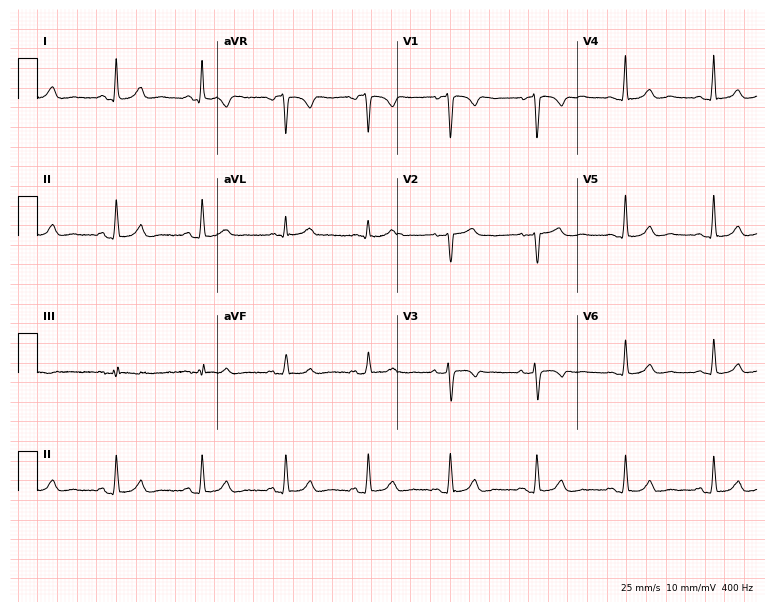
Standard 12-lead ECG recorded from a 55-year-old female patient (7.3-second recording at 400 Hz). Read as a normal ECG.